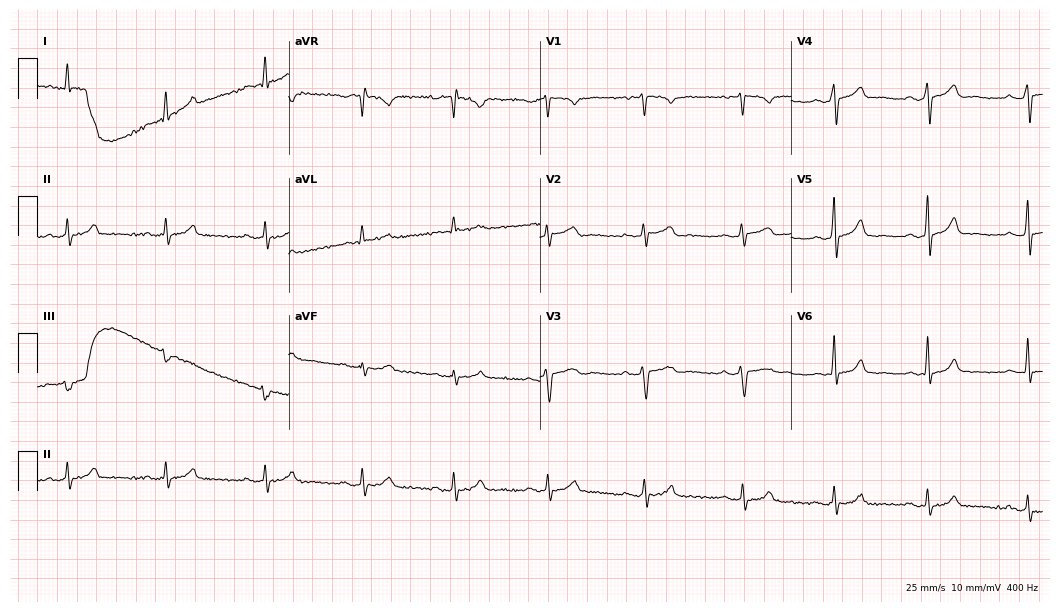
Electrocardiogram (10.2-second recording at 400 Hz), a 50-year-old male patient. Of the six screened findings (first-degree AV block, right bundle branch block, left bundle branch block, sinus bradycardia, atrial fibrillation, sinus tachycardia), none is recorded. Other findings, if any, are not listed.